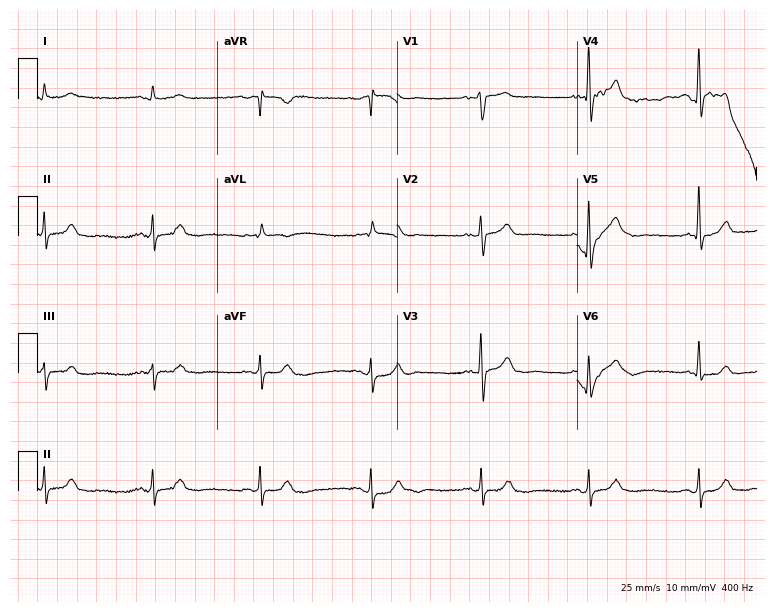
12-lead ECG from a male, 78 years old. Recorded interpretation: within normal limits.